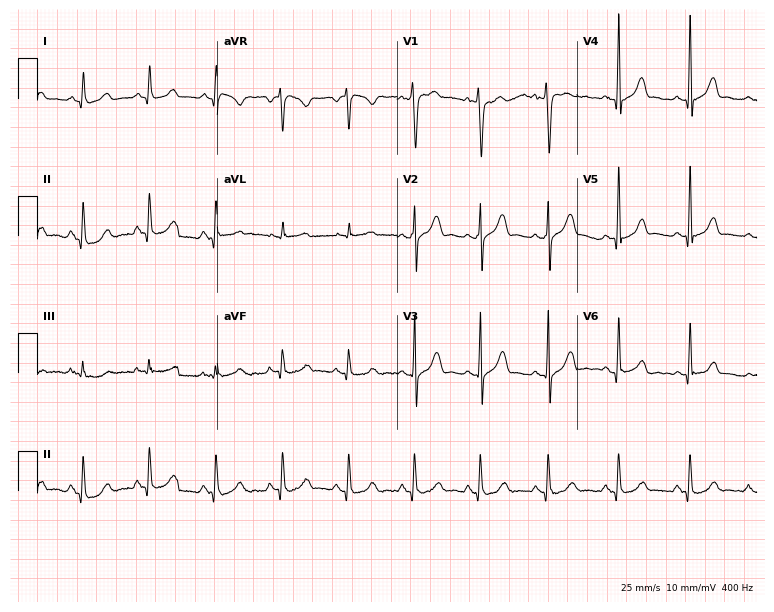
Electrocardiogram (7.3-second recording at 400 Hz), a 33-year-old male. Of the six screened findings (first-degree AV block, right bundle branch block, left bundle branch block, sinus bradycardia, atrial fibrillation, sinus tachycardia), none is recorded. Only these six findings were labelled.